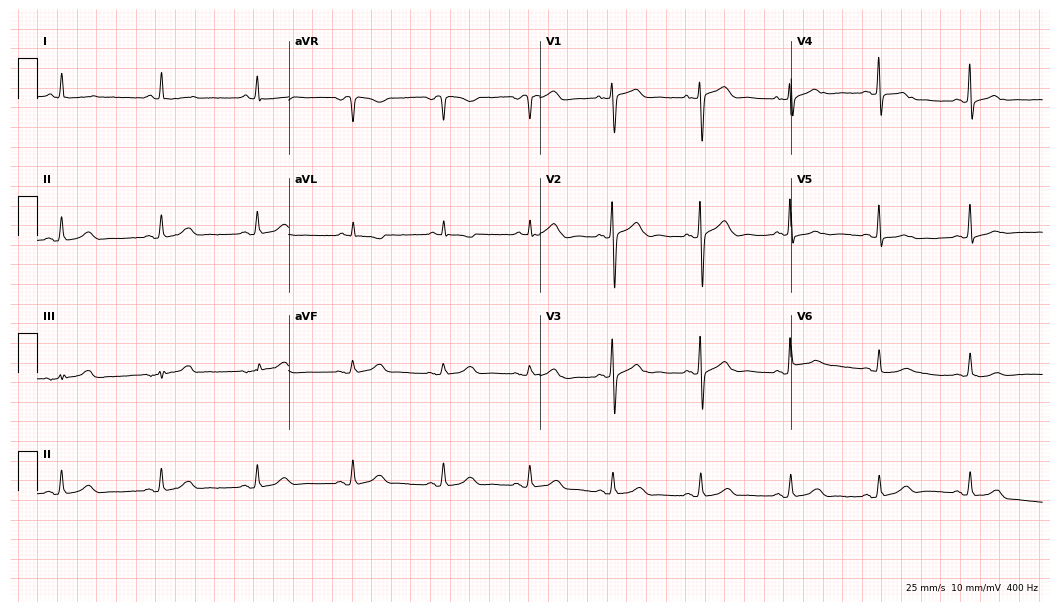
Electrocardiogram (10.2-second recording at 400 Hz), a 68-year-old female. Overall reading on record: normal ECG.